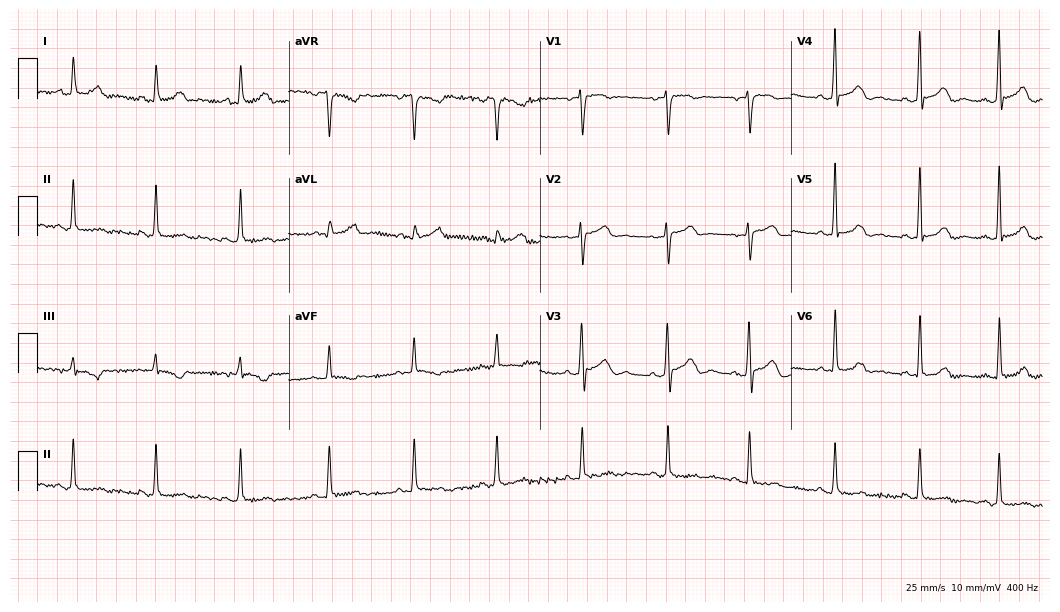
Standard 12-lead ECG recorded from a 32-year-old female. Read as a normal ECG.